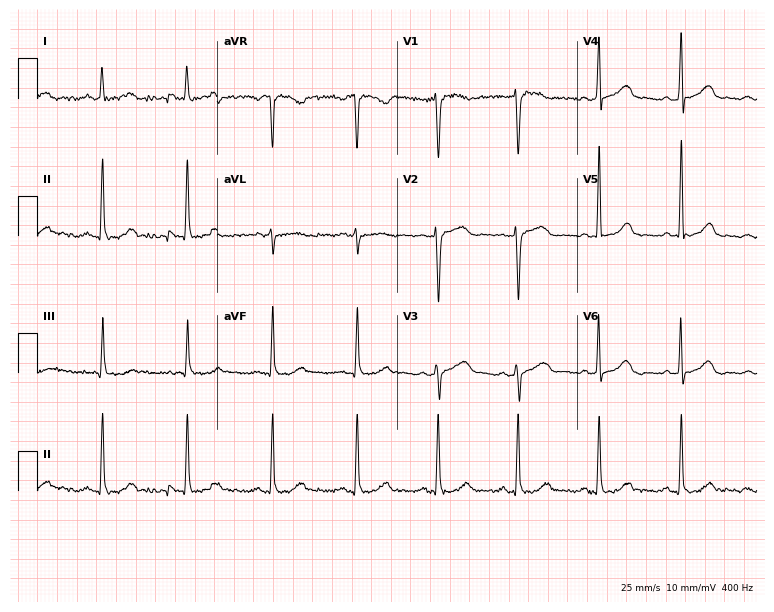
Standard 12-lead ECG recorded from a woman, 43 years old (7.3-second recording at 400 Hz). Read as a normal ECG.